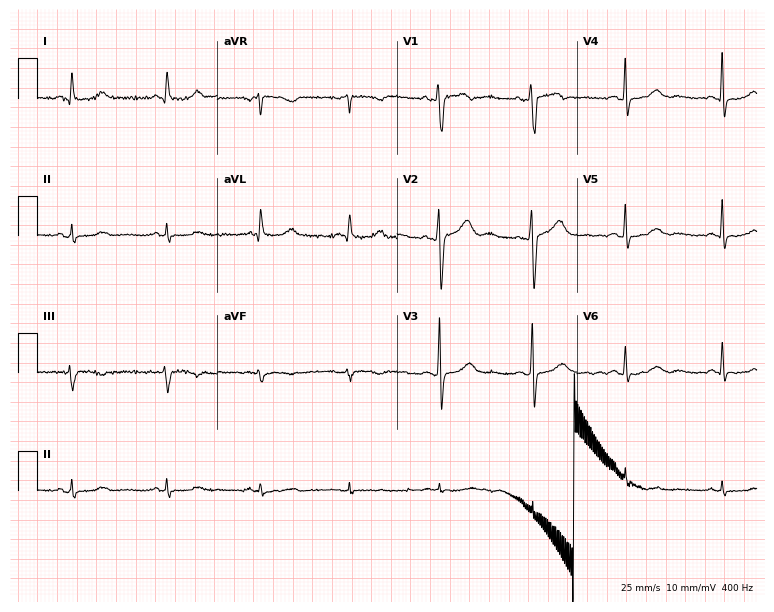
Resting 12-lead electrocardiogram. Patient: a 42-year-old woman. None of these six findings is recorded: first-degree AV block, right bundle branch block (RBBB), left bundle branch block (LBBB), sinus bradycardia, atrial fibrillation (AF), sinus tachycardia.